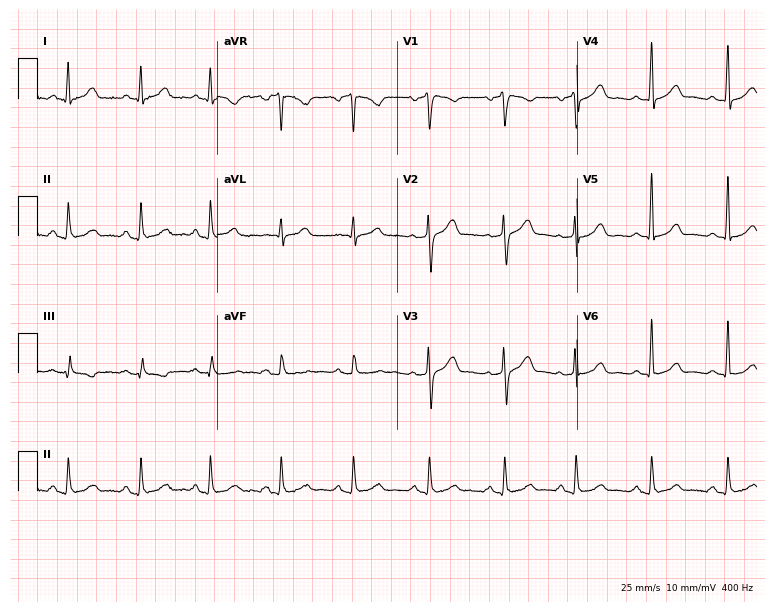
Standard 12-lead ECG recorded from a 42-year-old male (7.3-second recording at 400 Hz). Read as a normal ECG.